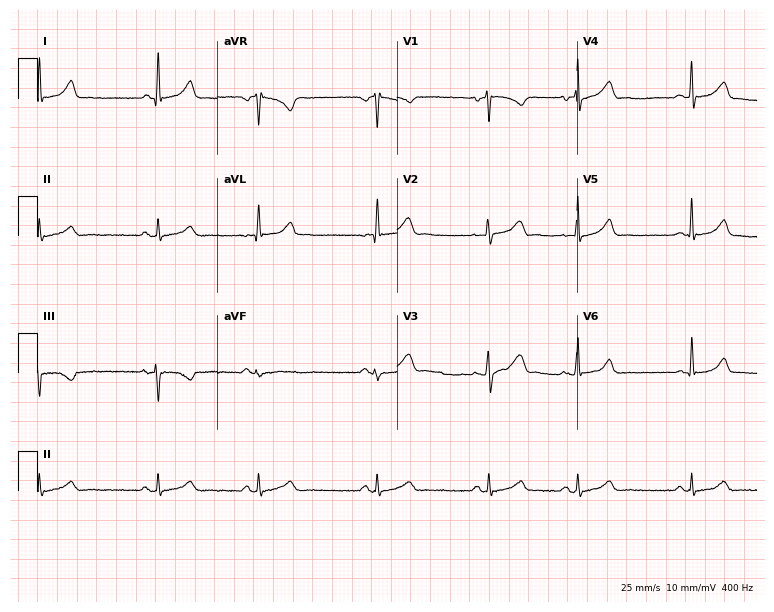
12-lead ECG from a female patient, 33 years old (7.3-second recording at 400 Hz). No first-degree AV block, right bundle branch block (RBBB), left bundle branch block (LBBB), sinus bradycardia, atrial fibrillation (AF) or sinus tachycardia recorded for this tracing. Findings outside these six are not listed.